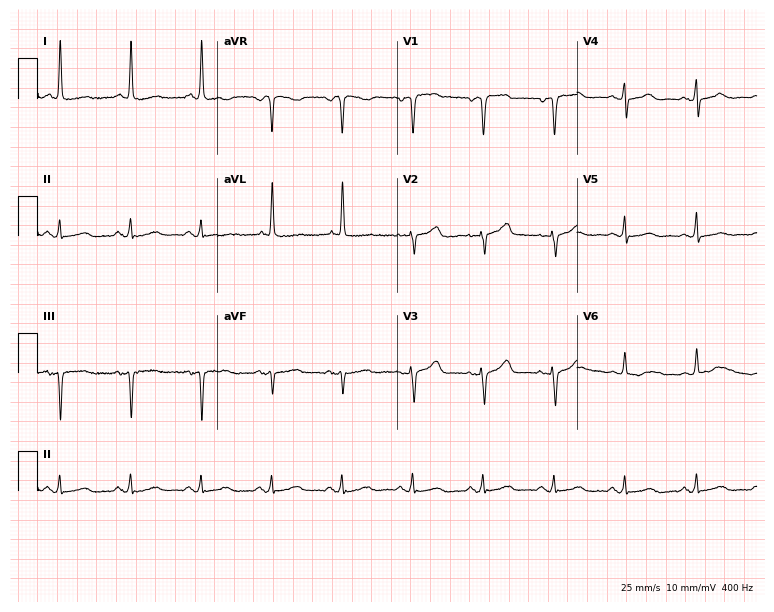
Resting 12-lead electrocardiogram (7.3-second recording at 400 Hz). Patient: a female, 81 years old. None of these six findings is recorded: first-degree AV block, right bundle branch block, left bundle branch block, sinus bradycardia, atrial fibrillation, sinus tachycardia. Only these six findings were labelled.